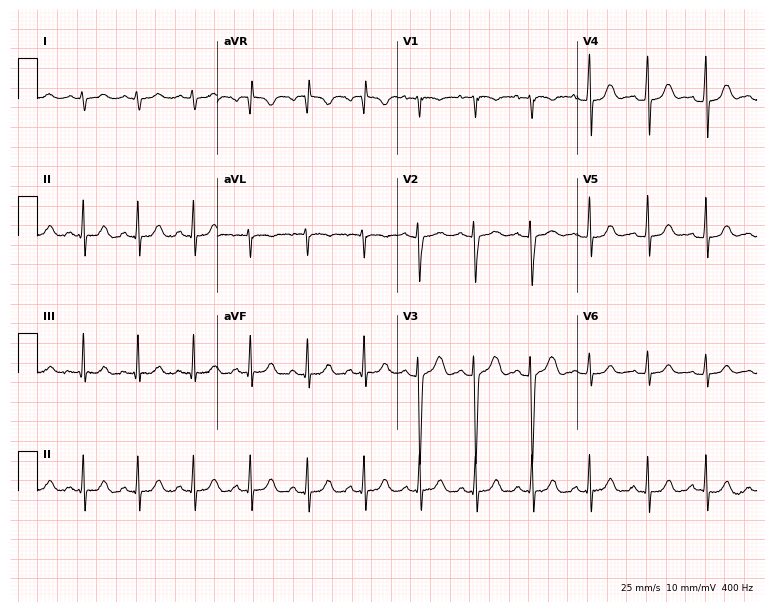
12-lead ECG from a woman, 19 years old. Findings include sinus tachycardia (a sinus rate of 100 beats per minute or more).